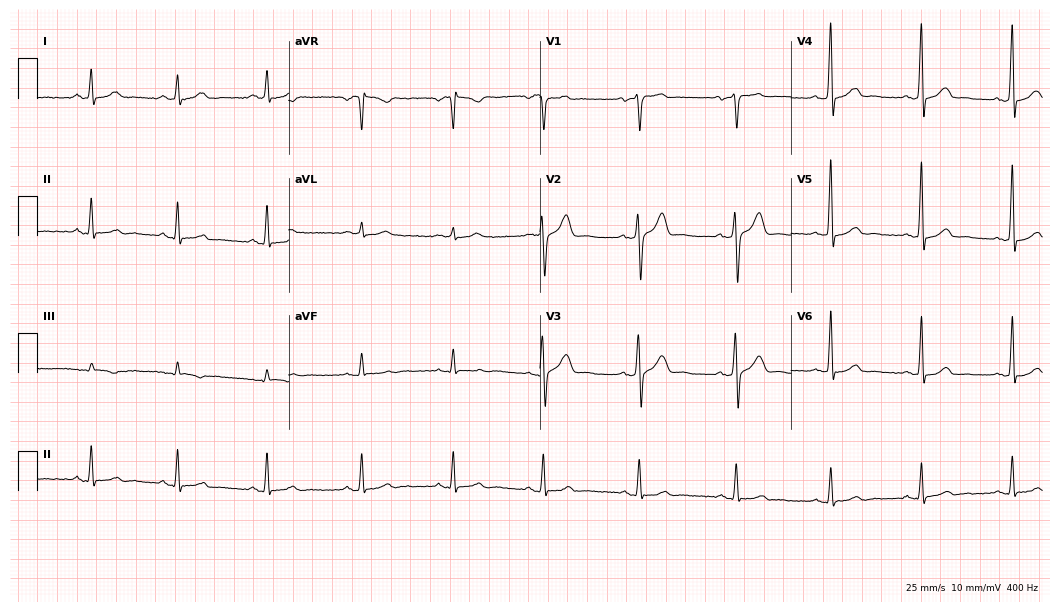
12-lead ECG from a female patient, 47 years old. Recorded interpretation: within normal limits.